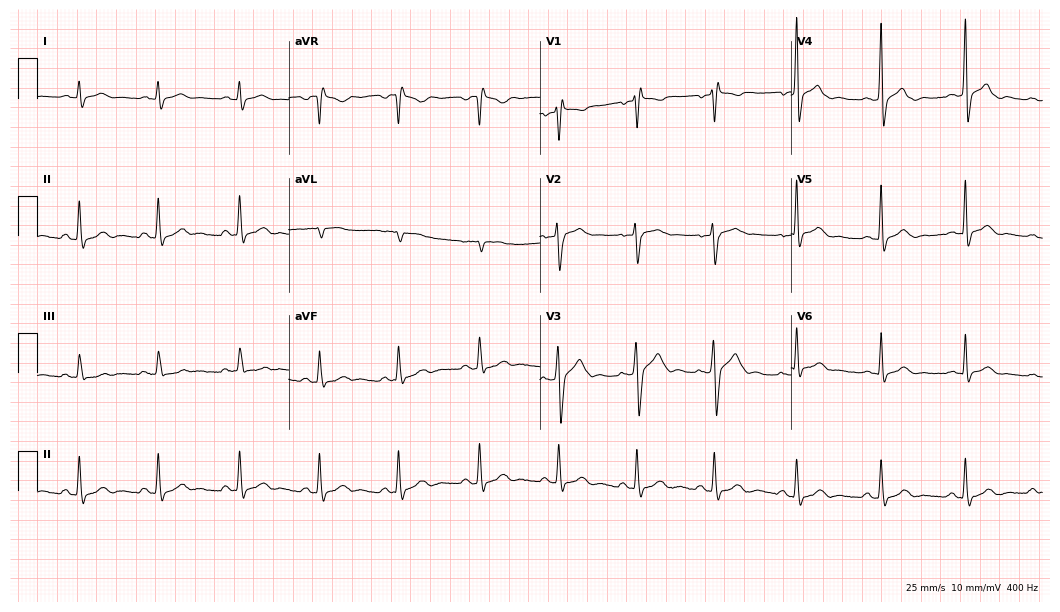
Standard 12-lead ECG recorded from a 39-year-old male (10.2-second recording at 400 Hz). None of these six findings is recorded: first-degree AV block, right bundle branch block, left bundle branch block, sinus bradycardia, atrial fibrillation, sinus tachycardia.